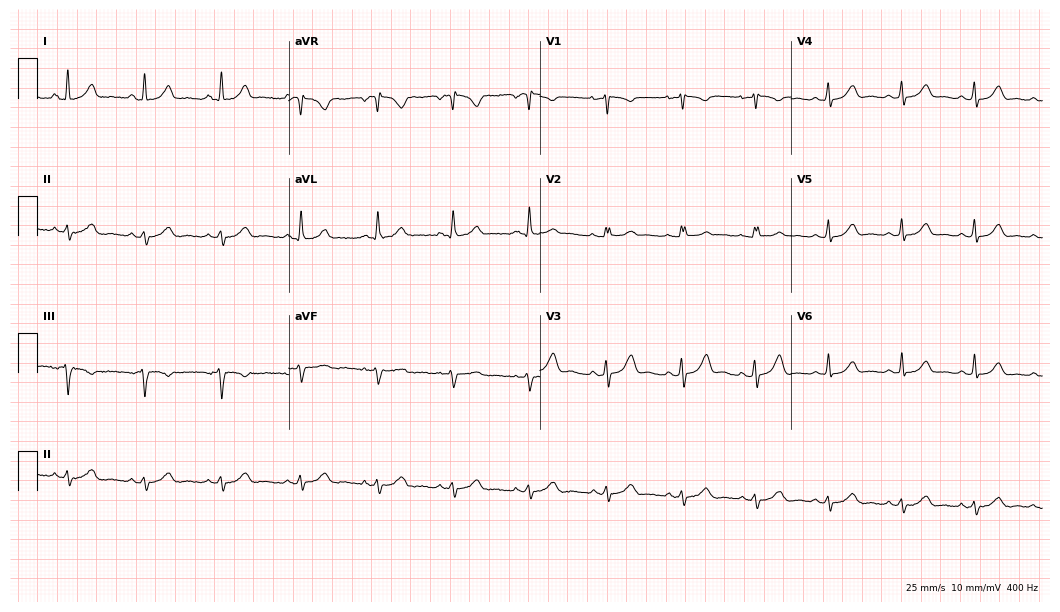
12-lead ECG from a 40-year-old female. Screened for six findings — first-degree AV block, right bundle branch block, left bundle branch block, sinus bradycardia, atrial fibrillation, sinus tachycardia — none is recorded.